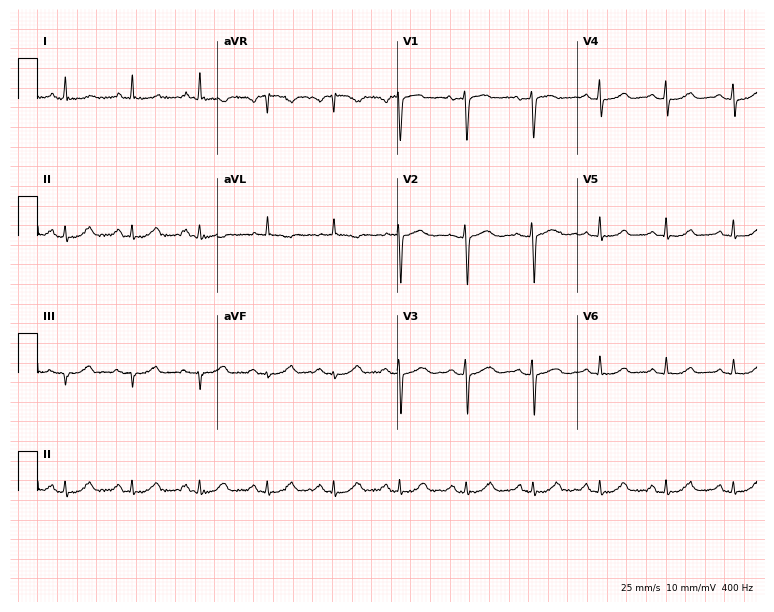
Resting 12-lead electrocardiogram. Patient: a 53-year-old female. None of these six findings is recorded: first-degree AV block, right bundle branch block, left bundle branch block, sinus bradycardia, atrial fibrillation, sinus tachycardia. Findings outside these six are not listed.